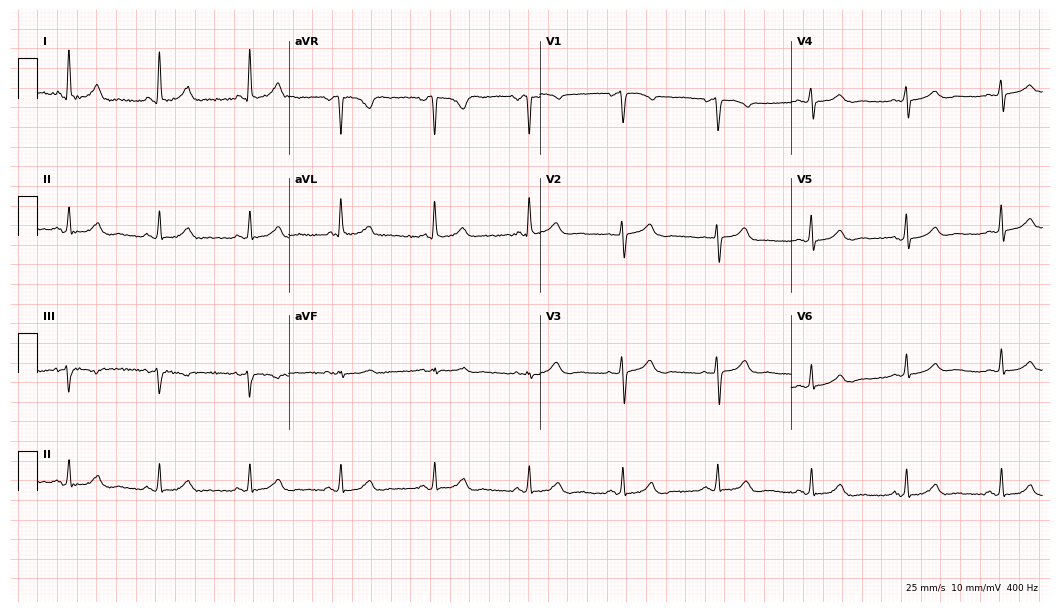
Resting 12-lead electrocardiogram (10.2-second recording at 400 Hz). Patient: a 62-year-old female. Read as a normal ECG.